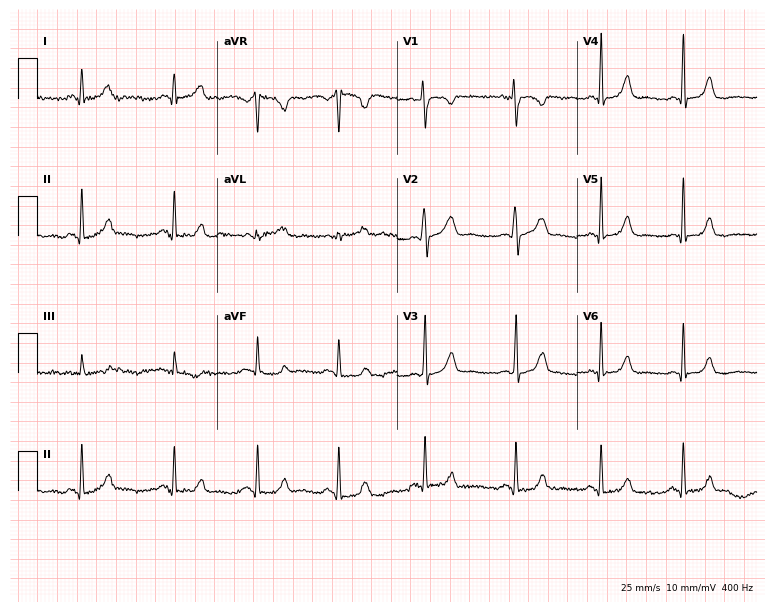
Resting 12-lead electrocardiogram. Patient: a 21-year-old woman. None of these six findings is recorded: first-degree AV block, right bundle branch block, left bundle branch block, sinus bradycardia, atrial fibrillation, sinus tachycardia.